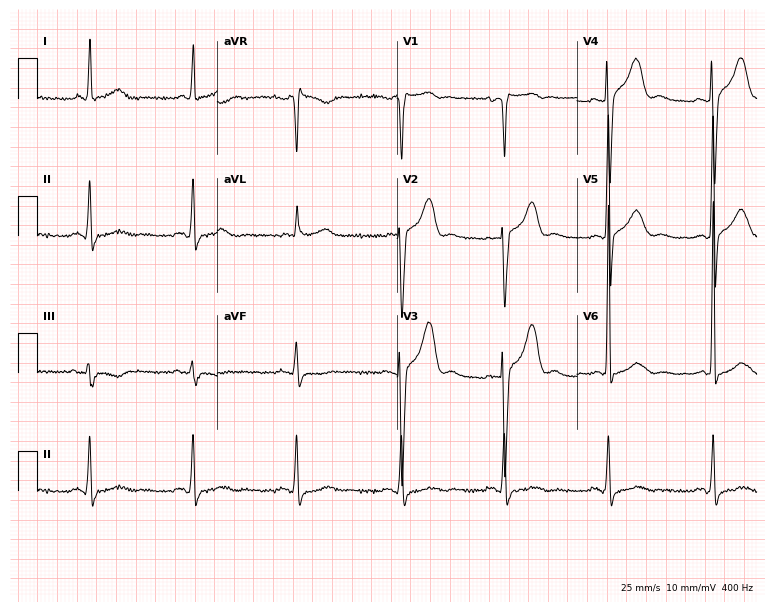
Electrocardiogram, a male patient, 68 years old. Of the six screened findings (first-degree AV block, right bundle branch block, left bundle branch block, sinus bradycardia, atrial fibrillation, sinus tachycardia), none is recorded.